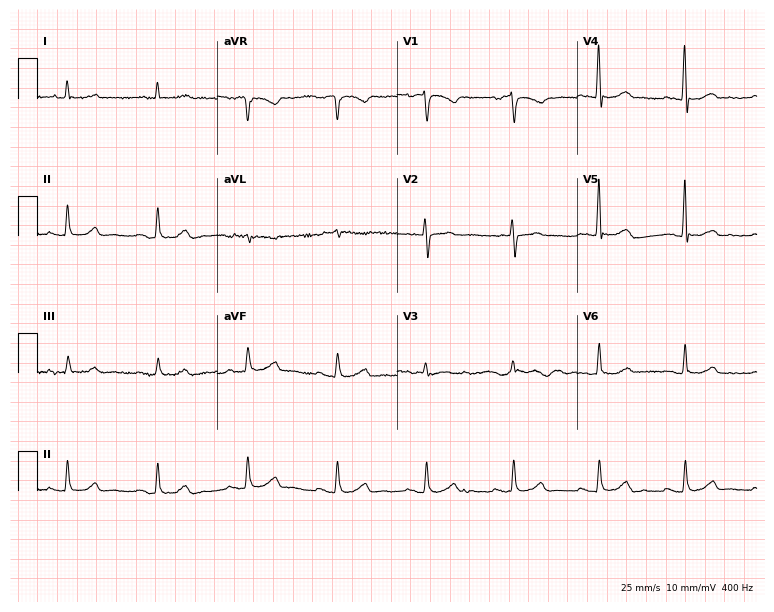
Electrocardiogram (7.3-second recording at 400 Hz), a male patient, 65 years old. Overall reading on record: normal ECG.